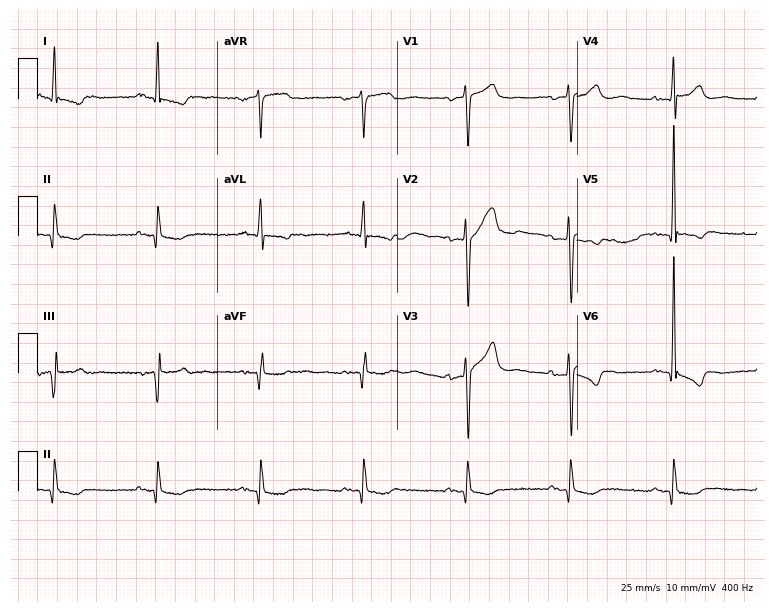
Resting 12-lead electrocardiogram. Patient: an 85-year-old man. None of these six findings is recorded: first-degree AV block, right bundle branch block (RBBB), left bundle branch block (LBBB), sinus bradycardia, atrial fibrillation (AF), sinus tachycardia.